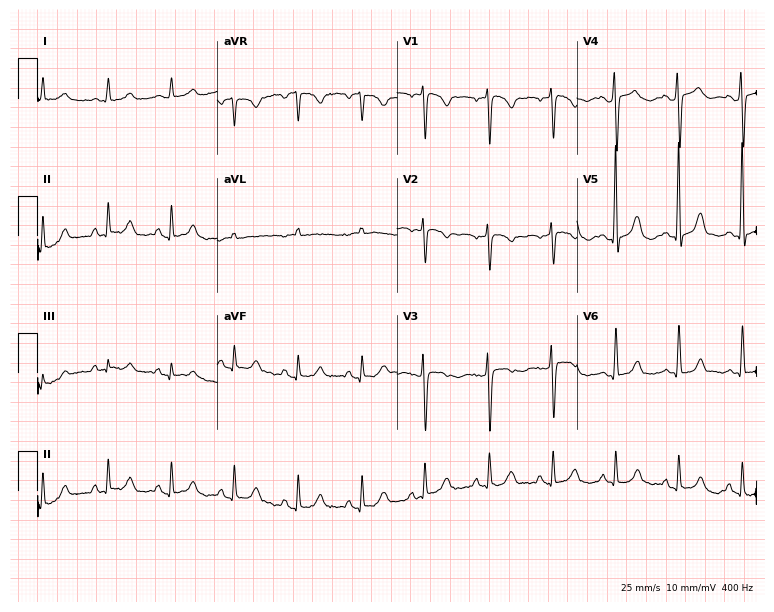
12-lead ECG (7.3-second recording at 400 Hz) from a woman, 56 years old. Screened for six findings — first-degree AV block, right bundle branch block, left bundle branch block, sinus bradycardia, atrial fibrillation, sinus tachycardia — none is recorded.